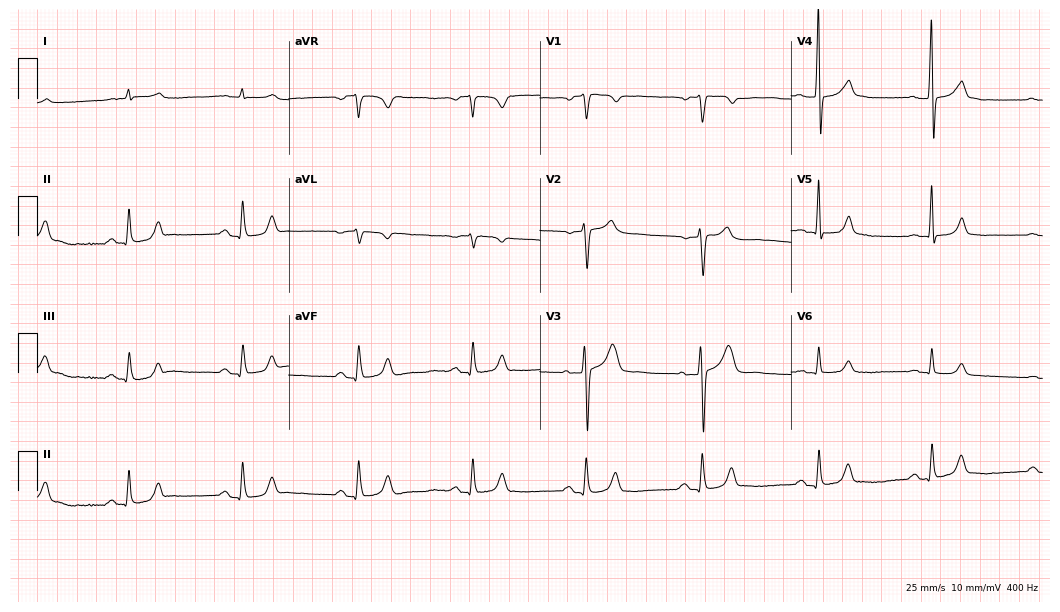
ECG (10.2-second recording at 400 Hz) — a male patient, 82 years old. Labelled as a normal ECG.